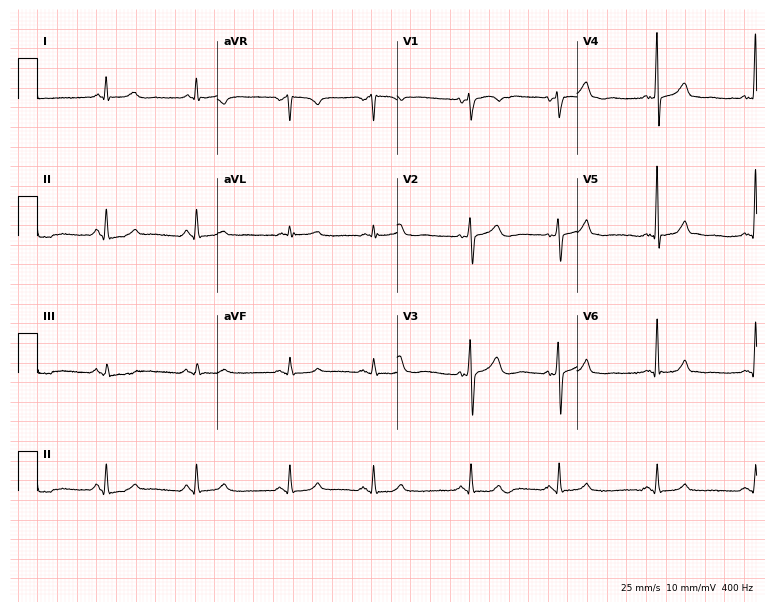
12-lead ECG from a man, 60 years old. Labelled as a normal ECG.